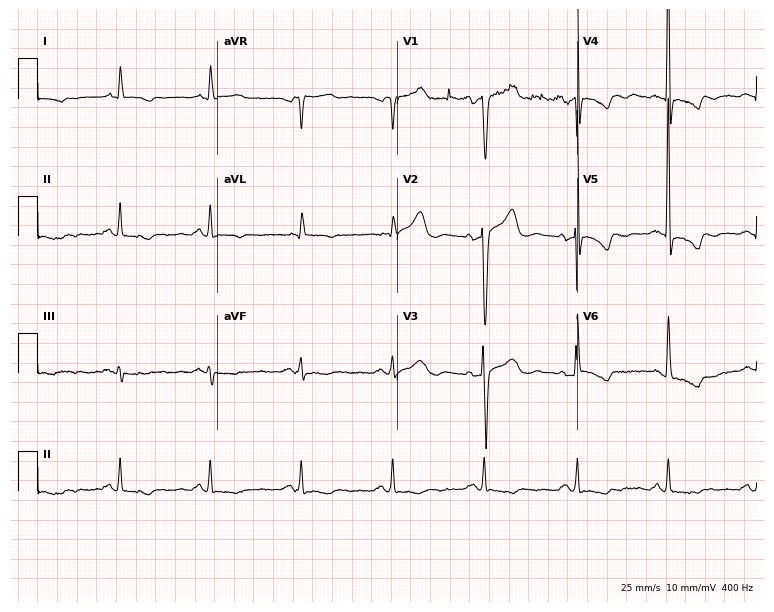
12-lead ECG from a male patient, 67 years old. No first-degree AV block, right bundle branch block, left bundle branch block, sinus bradycardia, atrial fibrillation or sinus tachycardia recorded for this tracing. Other findings, if any, are not listed.